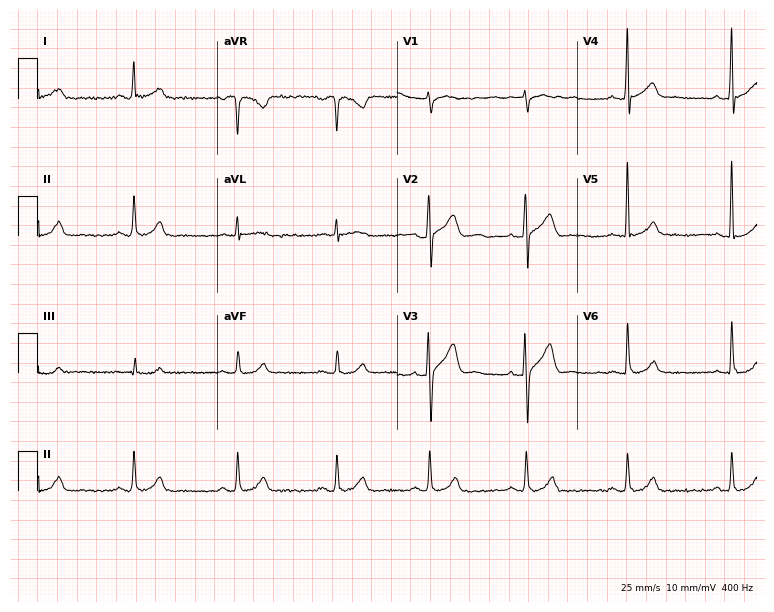
12-lead ECG from a 35-year-old man. Recorded interpretation: within normal limits.